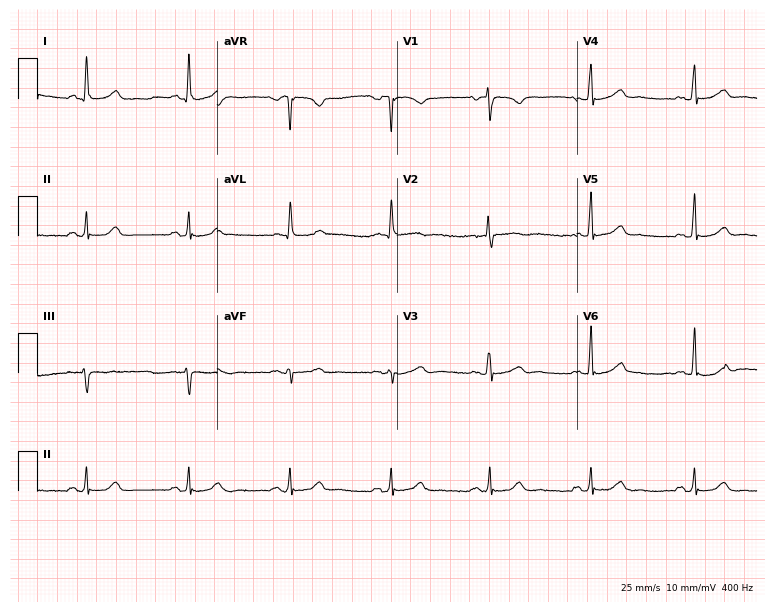
ECG (7.3-second recording at 400 Hz) — a 76-year-old female patient. Screened for six findings — first-degree AV block, right bundle branch block, left bundle branch block, sinus bradycardia, atrial fibrillation, sinus tachycardia — none is recorded. Other findings, if any, are not listed.